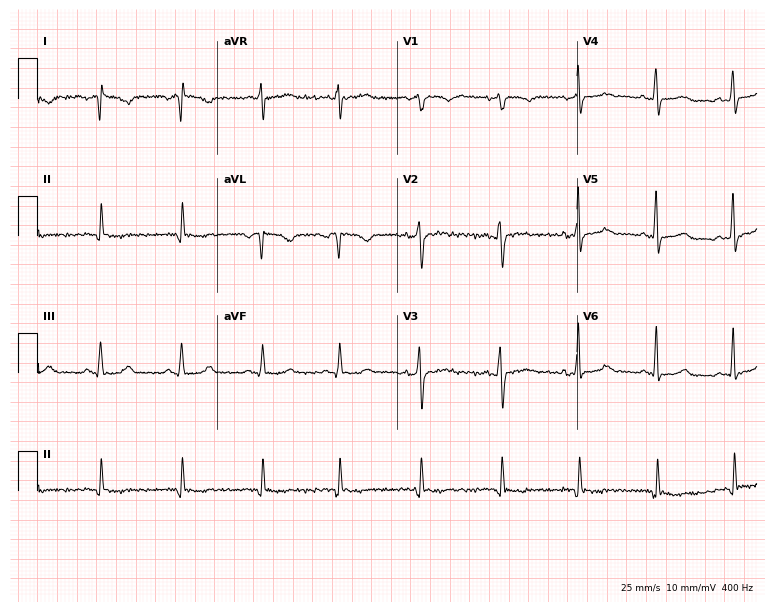
Standard 12-lead ECG recorded from a 27-year-old female patient (7.3-second recording at 400 Hz). Read as a normal ECG.